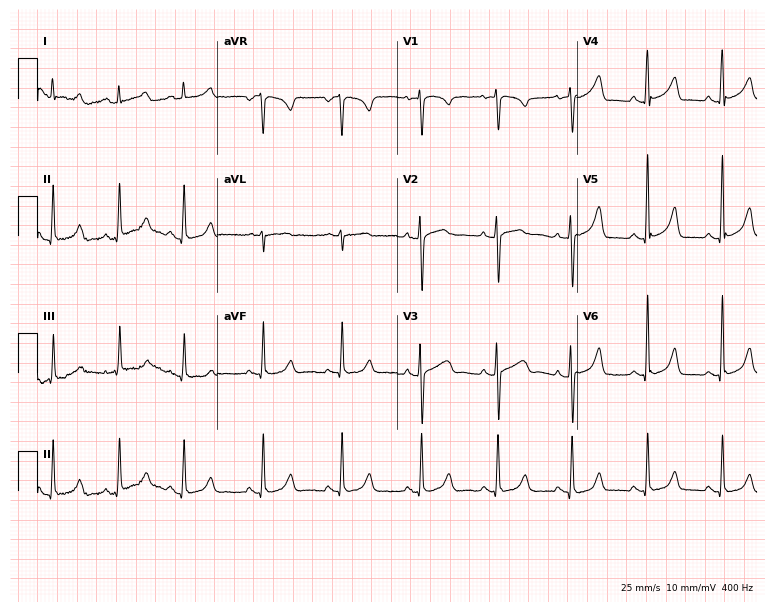
ECG (7.3-second recording at 400 Hz) — a woman, 35 years old. Labelled as a normal ECG.